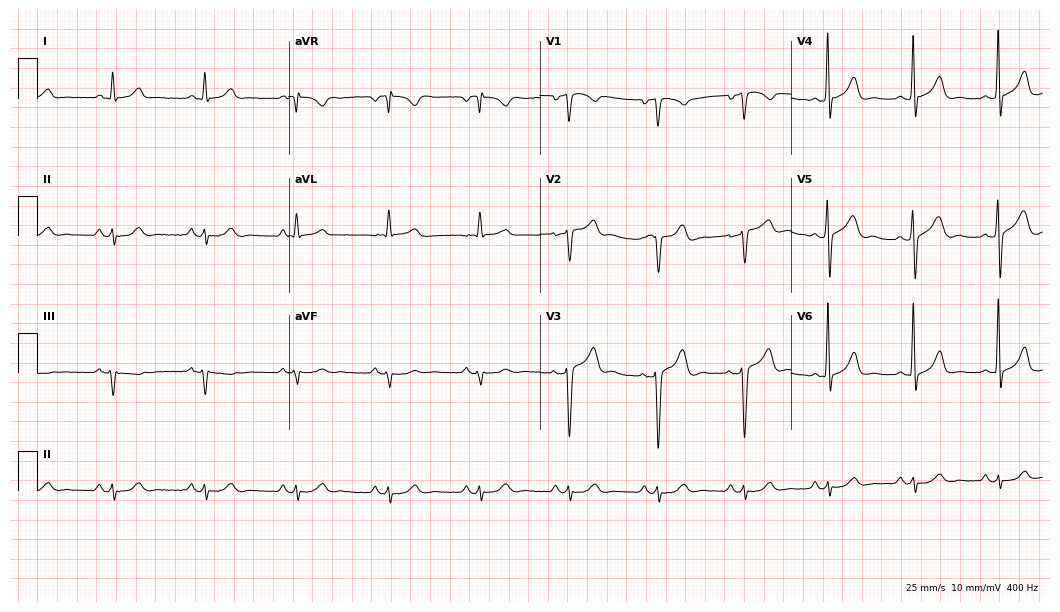
12-lead ECG from a male patient, 73 years old. Screened for six findings — first-degree AV block, right bundle branch block, left bundle branch block, sinus bradycardia, atrial fibrillation, sinus tachycardia — none is recorded. Only these six findings were labelled.